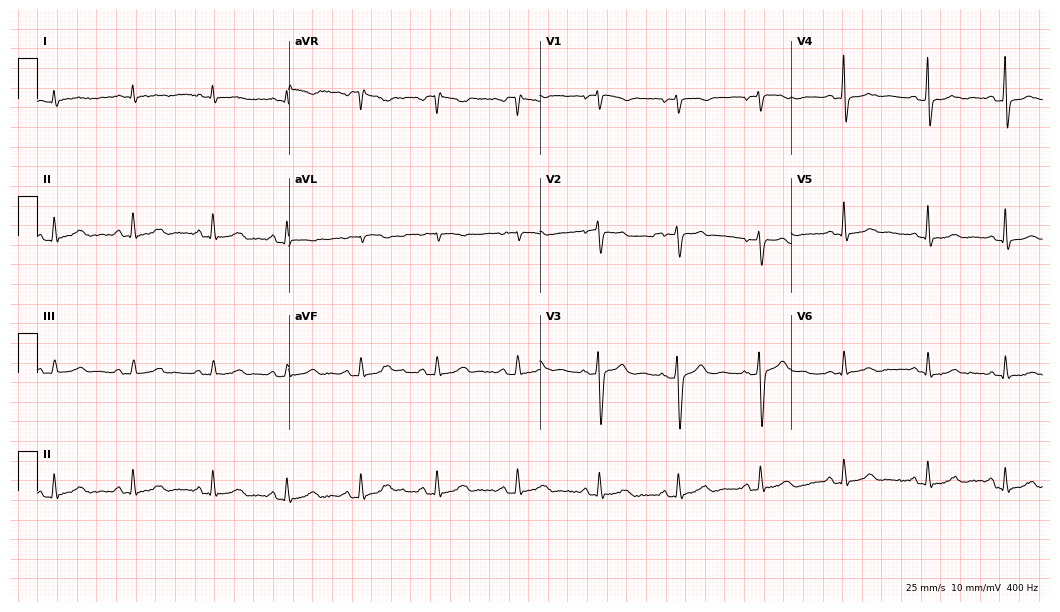
ECG — a 36-year-old woman. Labelled as a normal ECG.